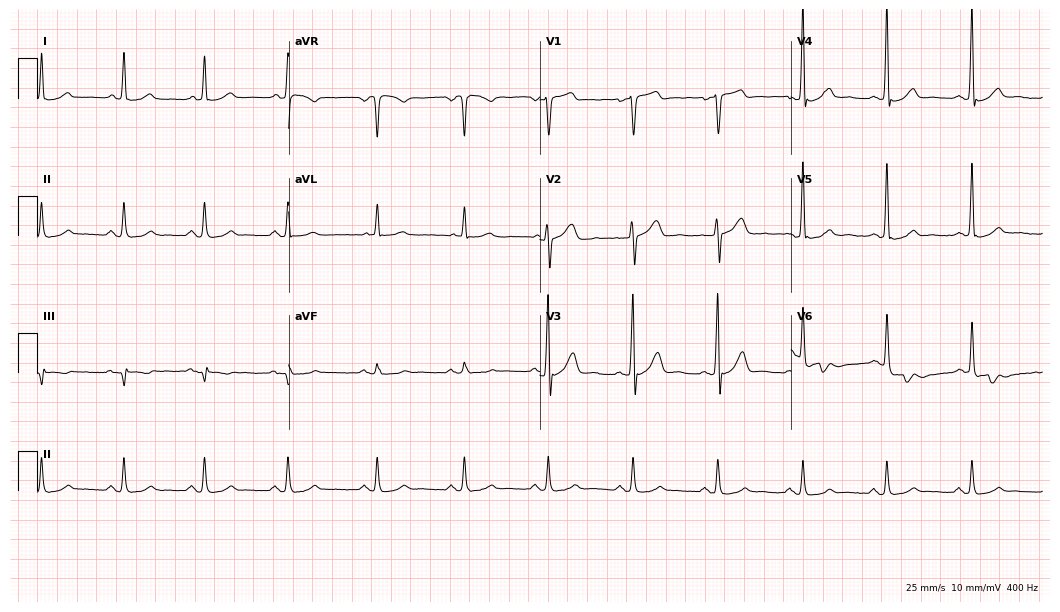
12-lead ECG from a 60-year-old male patient (10.2-second recording at 400 Hz). Recorded interpretation: within normal limits.